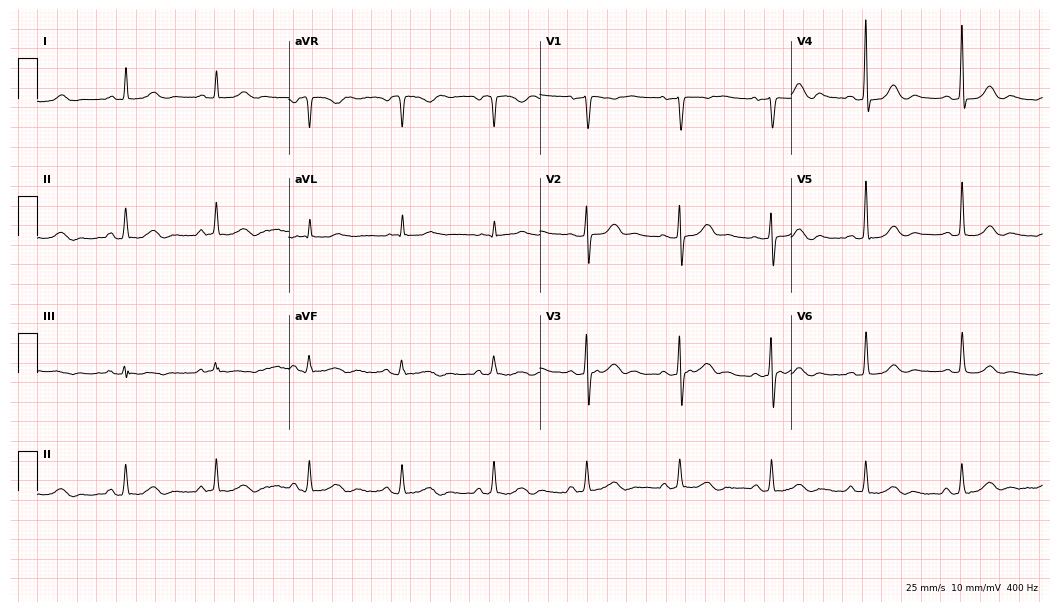
Resting 12-lead electrocardiogram. Patient: a 73-year-old female. Read as a normal ECG.